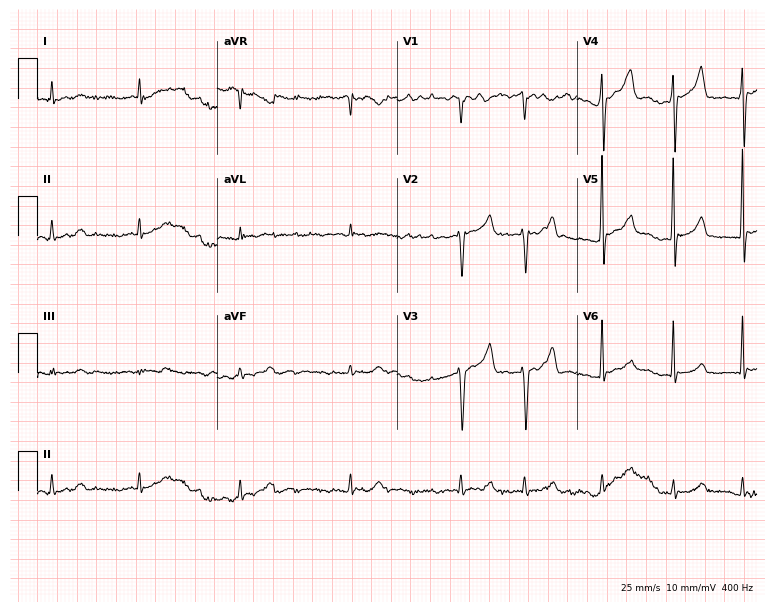
12-lead ECG (7.3-second recording at 400 Hz) from a man, 75 years old. Findings include atrial fibrillation (AF).